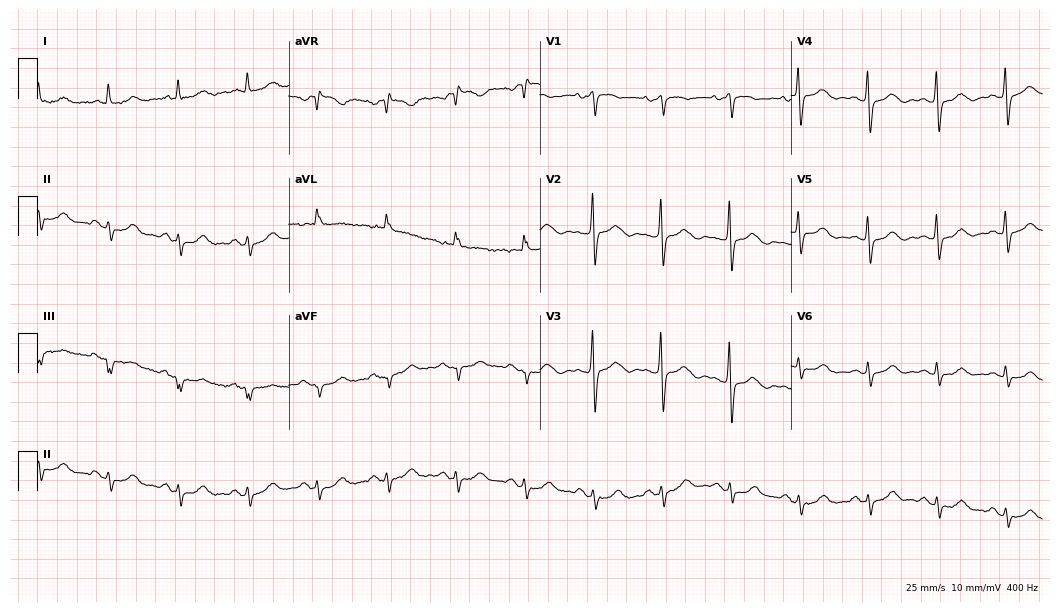
Resting 12-lead electrocardiogram. Patient: a 68-year-old woman. None of these six findings is recorded: first-degree AV block, right bundle branch block (RBBB), left bundle branch block (LBBB), sinus bradycardia, atrial fibrillation (AF), sinus tachycardia.